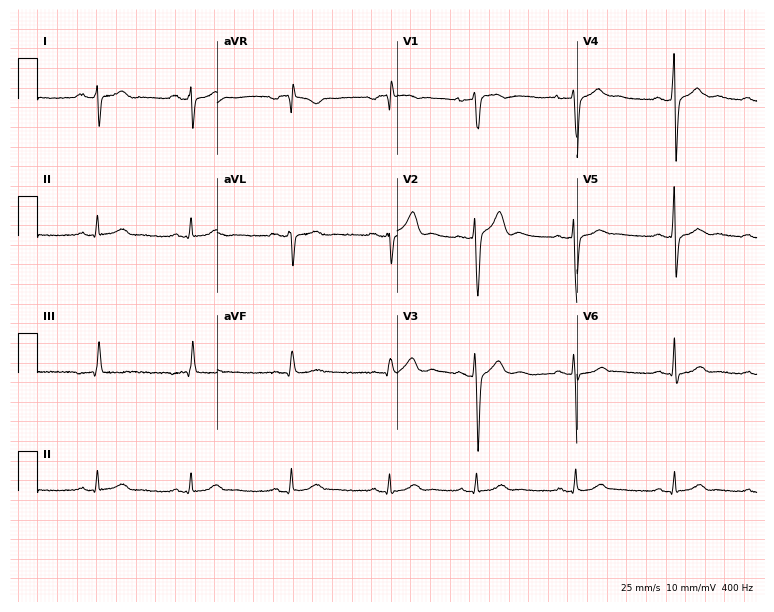
Standard 12-lead ECG recorded from a male, 29 years old (7.3-second recording at 400 Hz). None of these six findings is recorded: first-degree AV block, right bundle branch block, left bundle branch block, sinus bradycardia, atrial fibrillation, sinus tachycardia. Findings outside these six are not listed.